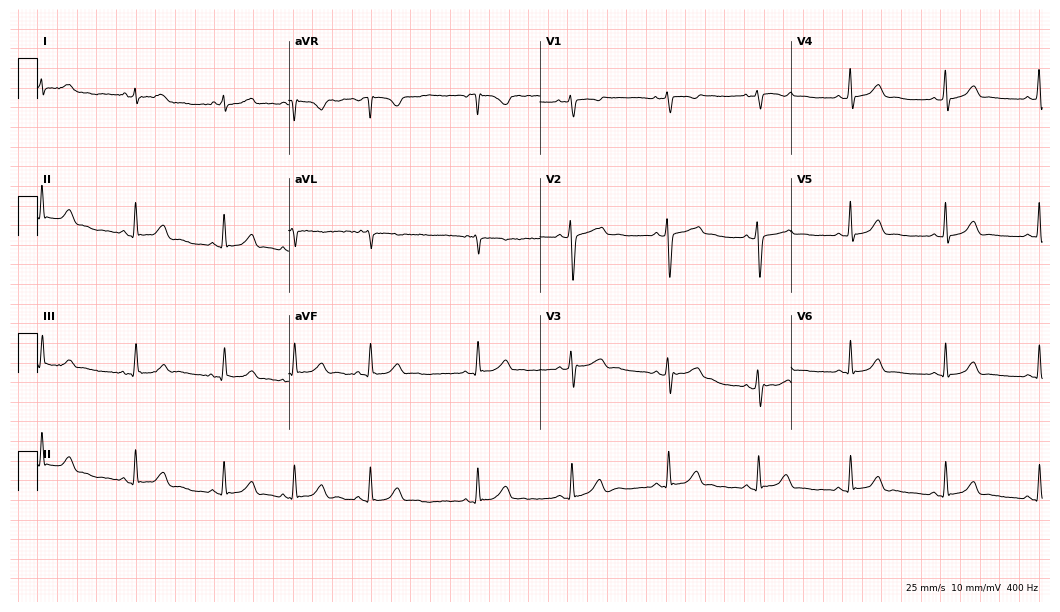
Standard 12-lead ECG recorded from a 30-year-old woman. Read as a normal ECG.